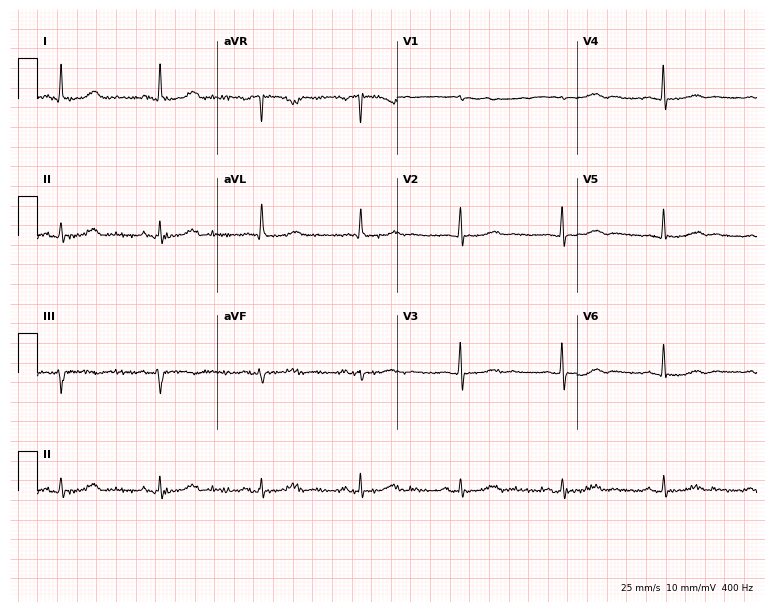
ECG — a woman, 75 years old. Screened for six findings — first-degree AV block, right bundle branch block (RBBB), left bundle branch block (LBBB), sinus bradycardia, atrial fibrillation (AF), sinus tachycardia — none is recorded.